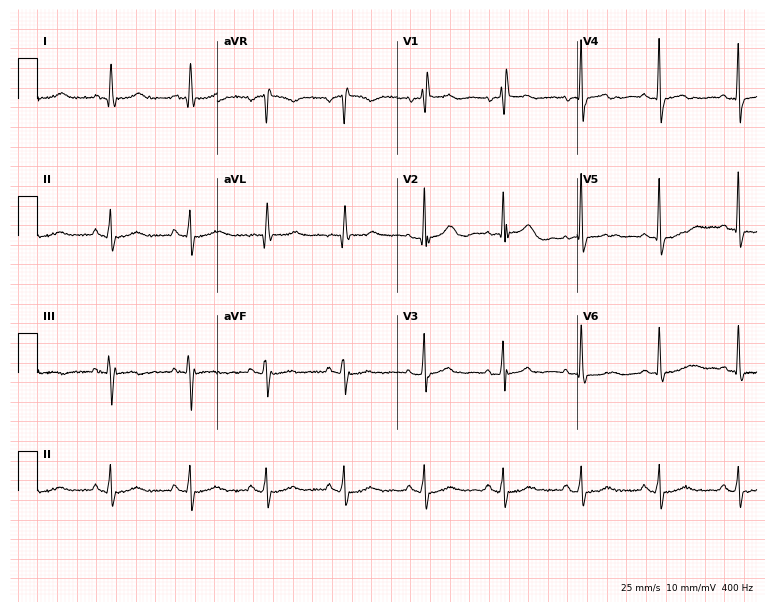
Resting 12-lead electrocardiogram. Patient: a 75-year-old female. None of these six findings is recorded: first-degree AV block, right bundle branch block, left bundle branch block, sinus bradycardia, atrial fibrillation, sinus tachycardia.